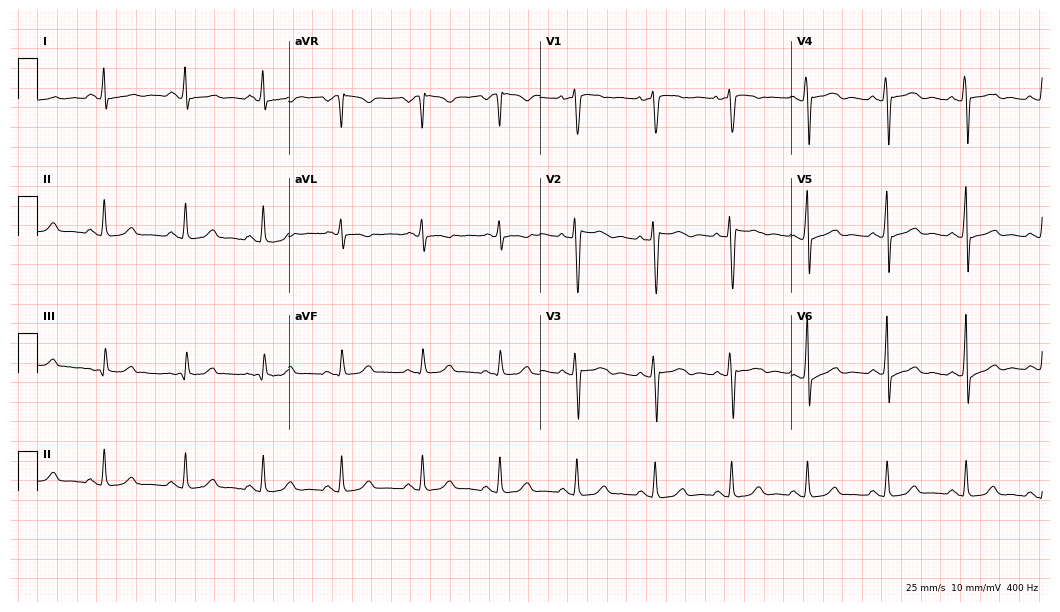
Resting 12-lead electrocardiogram (10.2-second recording at 400 Hz). Patient: a female, 36 years old. None of these six findings is recorded: first-degree AV block, right bundle branch block, left bundle branch block, sinus bradycardia, atrial fibrillation, sinus tachycardia. Other findings, if any, are not listed.